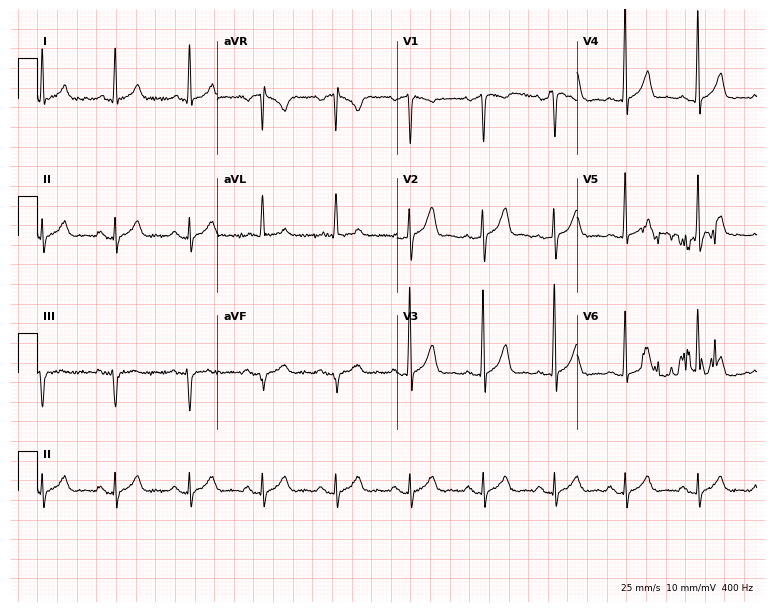
Electrocardiogram, a male, 60 years old. Overall reading on record: normal ECG.